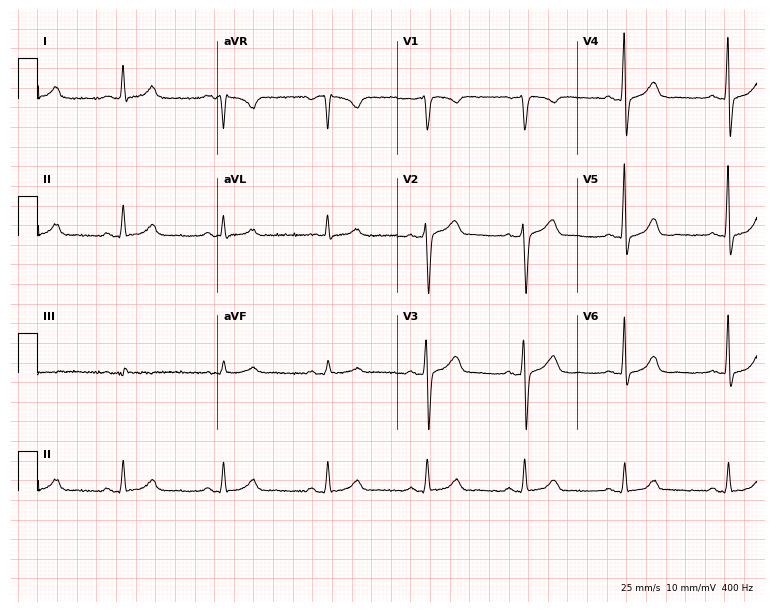
Standard 12-lead ECG recorded from a man, 53 years old (7.3-second recording at 400 Hz). Read as a normal ECG.